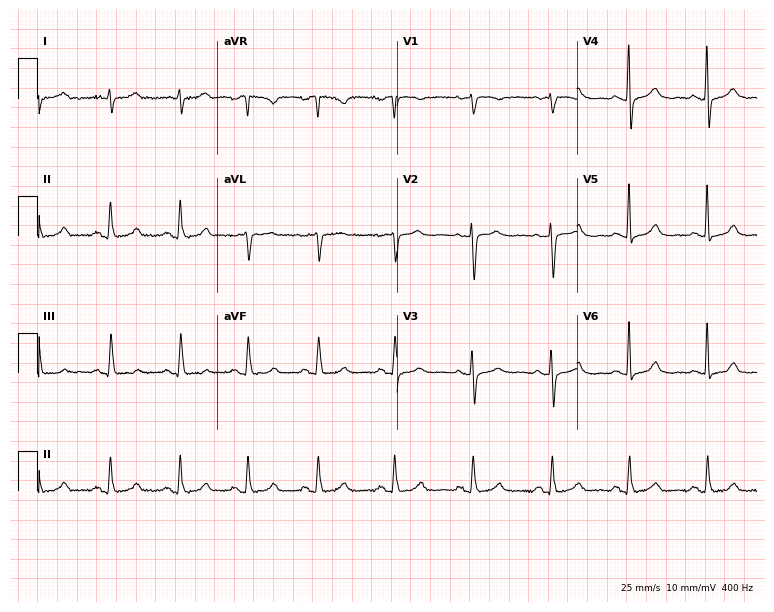
Standard 12-lead ECG recorded from a woman, 67 years old (7.3-second recording at 400 Hz). Read as a normal ECG.